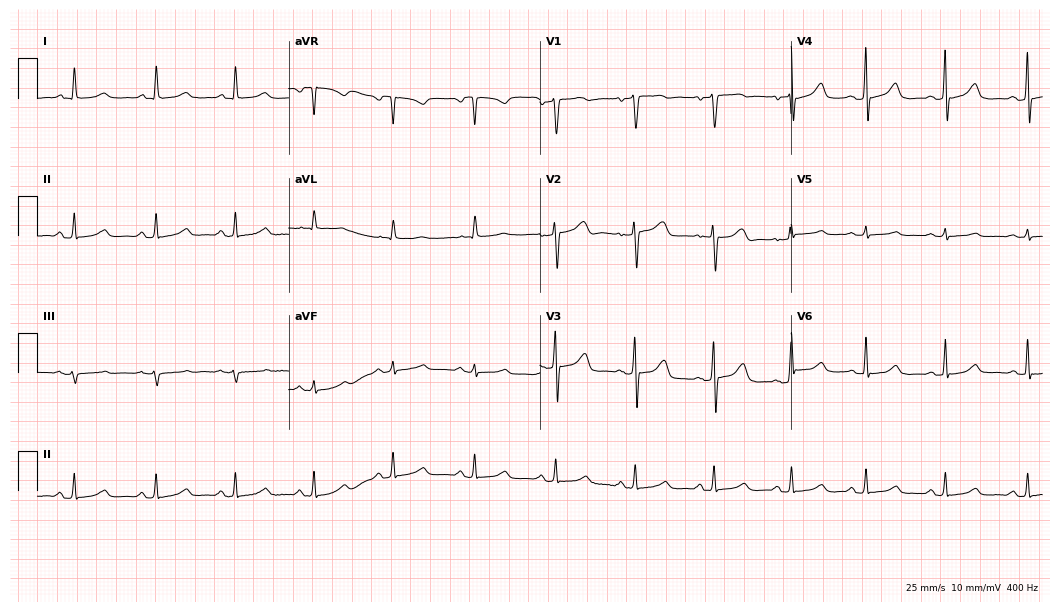
Standard 12-lead ECG recorded from a female, 47 years old. Read as a normal ECG.